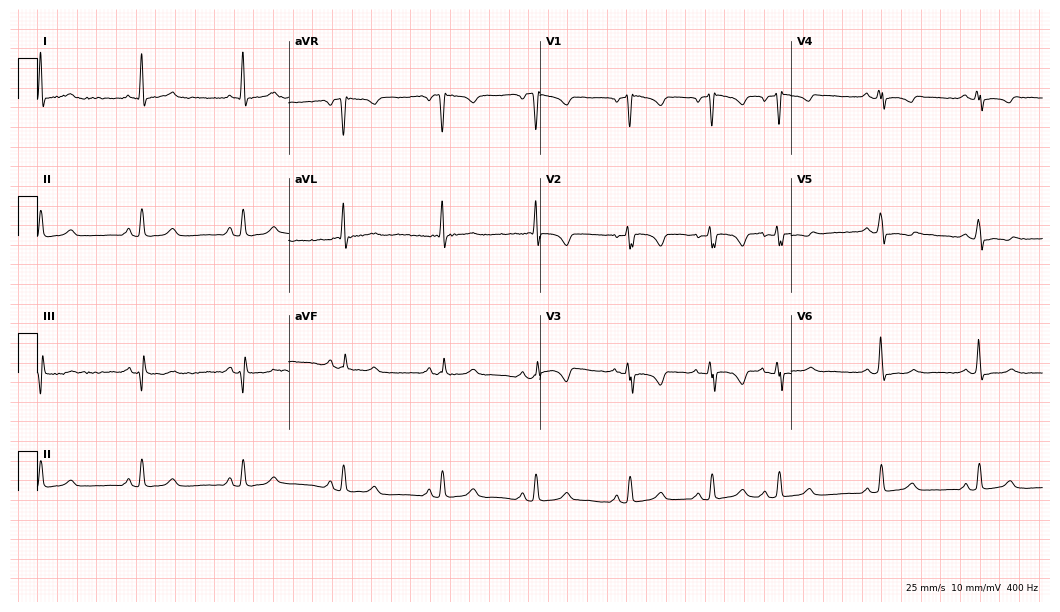
ECG (10.2-second recording at 400 Hz) — a female patient, 59 years old. Screened for six findings — first-degree AV block, right bundle branch block, left bundle branch block, sinus bradycardia, atrial fibrillation, sinus tachycardia — none is recorded. Other findings, if any, are not listed.